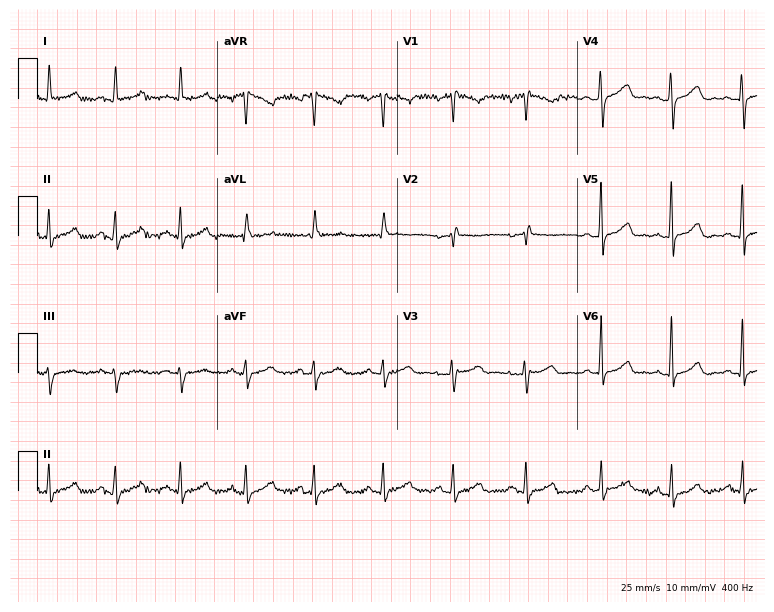
Resting 12-lead electrocardiogram. Patient: a 54-year-old female. None of these six findings is recorded: first-degree AV block, right bundle branch block (RBBB), left bundle branch block (LBBB), sinus bradycardia, atrial fibrillation (AF), sinus tachycardia. Findings outside these six are not listed.